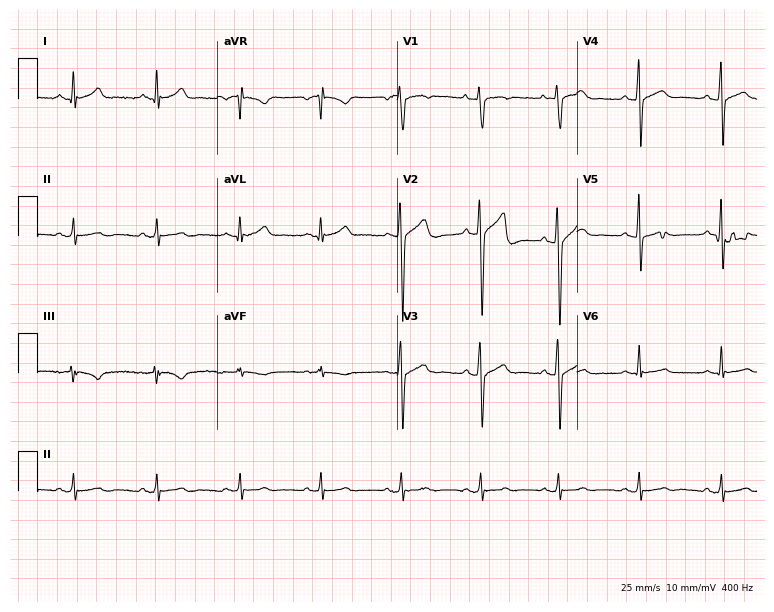
ECG — a 23-year-old male. Screened for six findings — first-degree AV block, right bundle branch block (RBBB), left bundle branch block (LBBB), sinus bradycardia, atrial fibrillation (AF), sinus tachycardia — none is recorded.